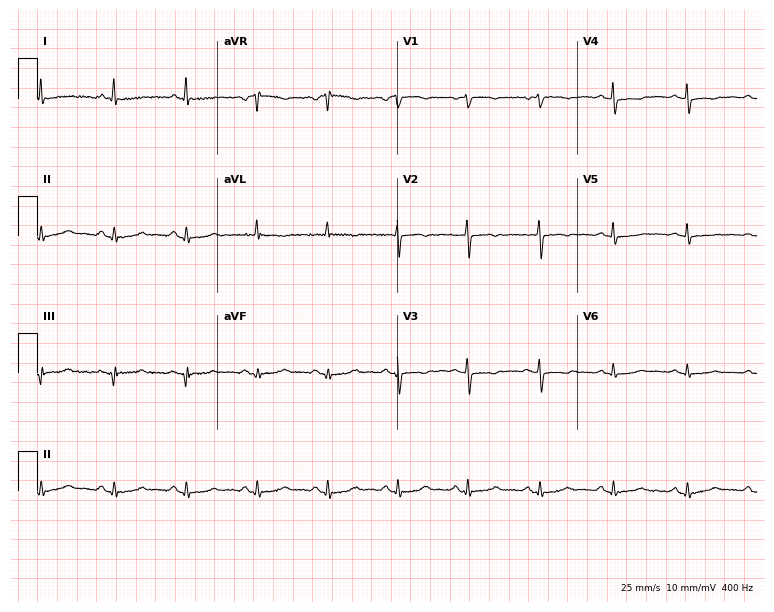
Standard 12-lead ECG recorded from a female patient, 61 years old. None of these six findings is recorded: first-degree AV block, right bundle branch block, left bundle branch block, sinus bradycardia, atrial fibrillation, sinus tachycardia.